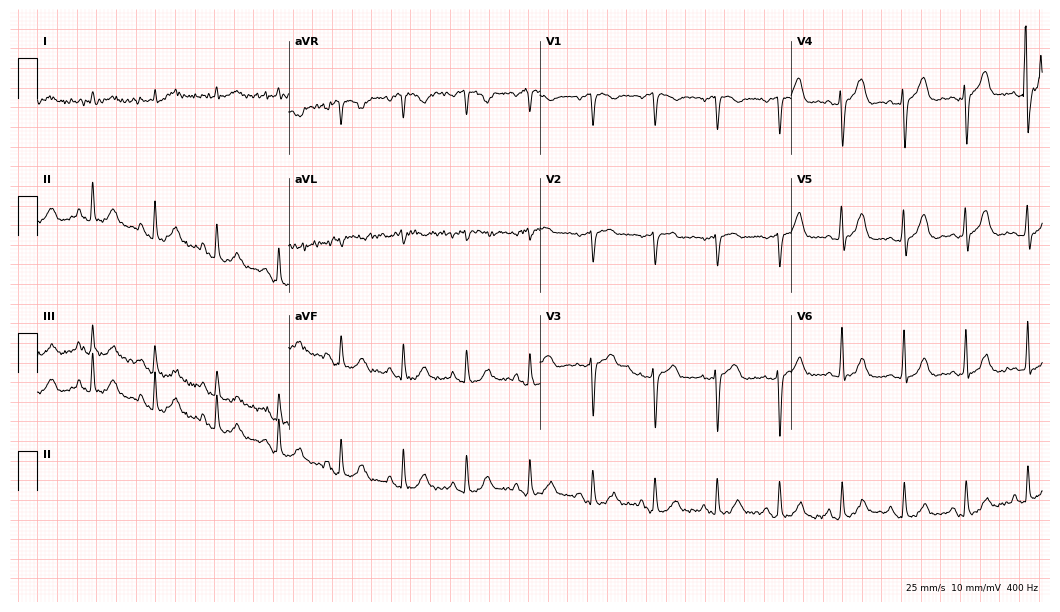
12-lead ECG from a female patient, 65 years old. Labelled as a normal ECG.